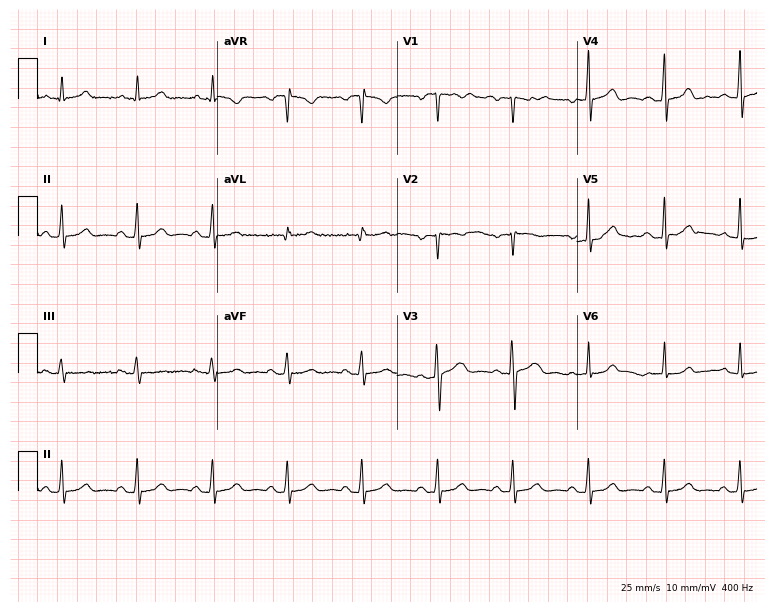
Electrocardiogram, a 24-year-old woman. Overall reading on record: normal ECG.